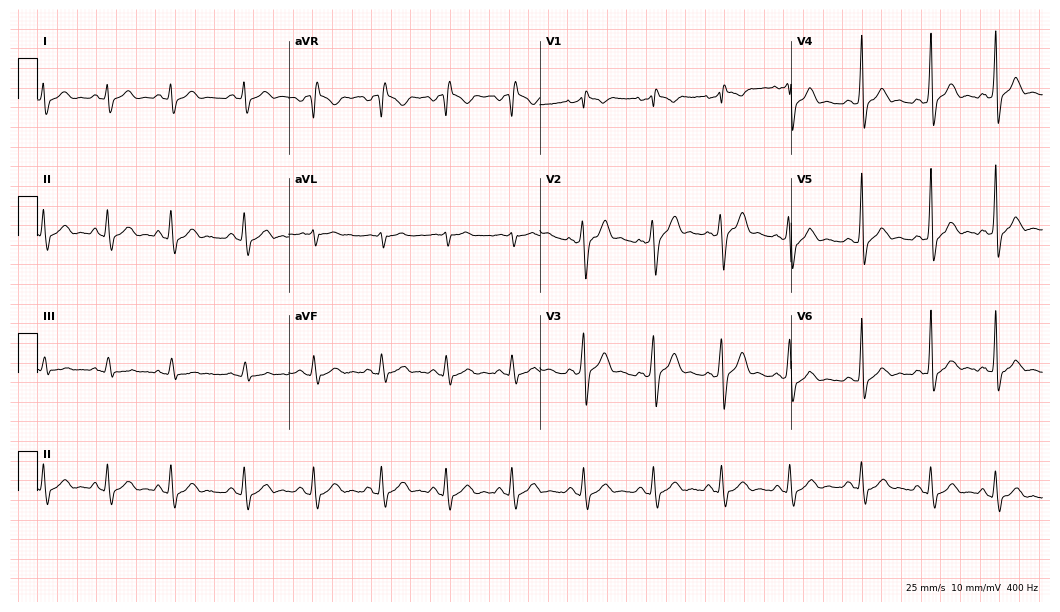
ECG (10.2-second recording at 400 Hz) — a 33-year-old man. Screened for six findings — first-degree AV block, right bundle branch block, left bundle branch block, sinus bradycardia, atrial fibrillation, sinus tachycardia — none is recorded. Findings outside these six are not listed.